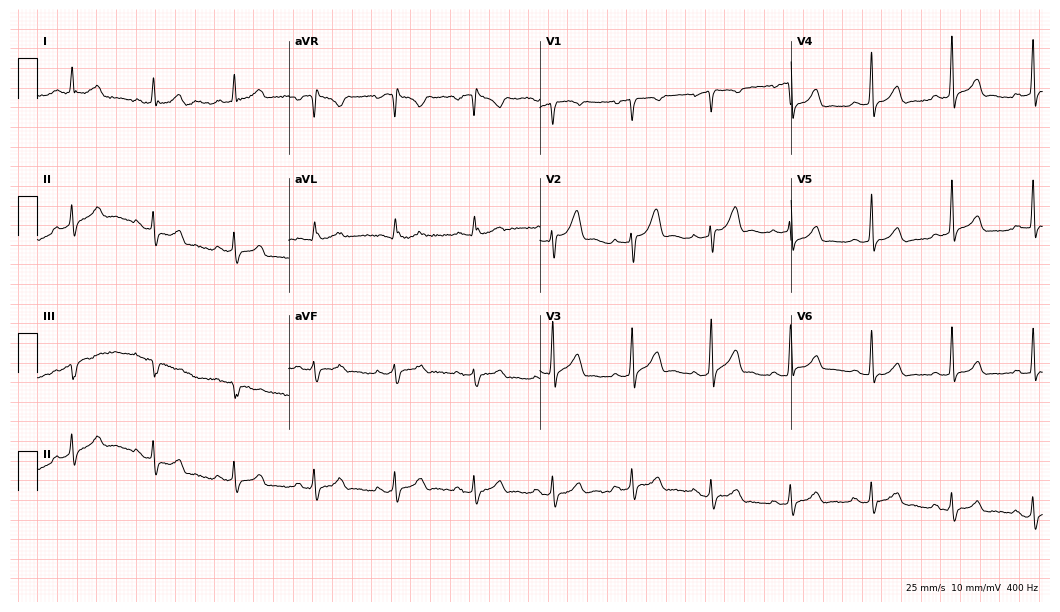
ECG (10.2-second recording at 400 Hz) — a 28-year-old male. Labelled as a normal ECG.